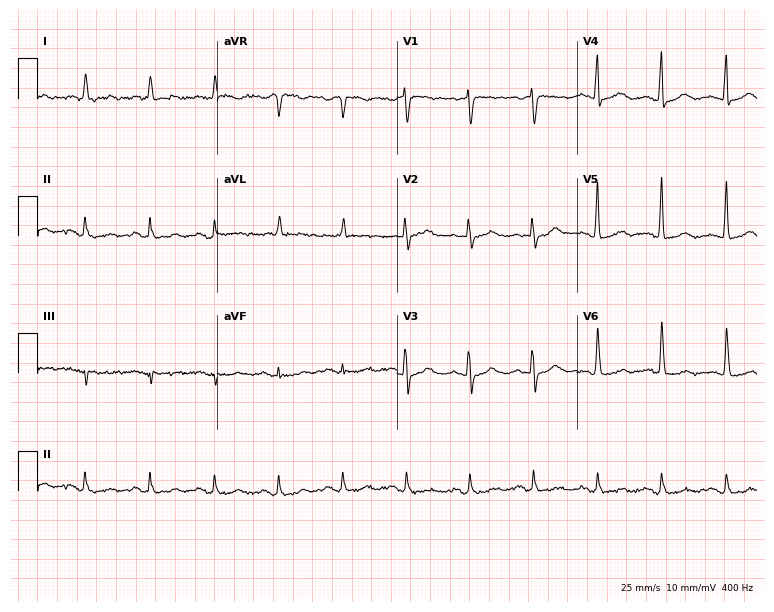
12-lead ECG from an 83-year-old female. No first-degree AV block, right bundle branch block, left bundle branch block, sinus bradycardia, atrial fibrillation or sinus tachycardia recorded for this tracing. Findings outside these six are not listed.